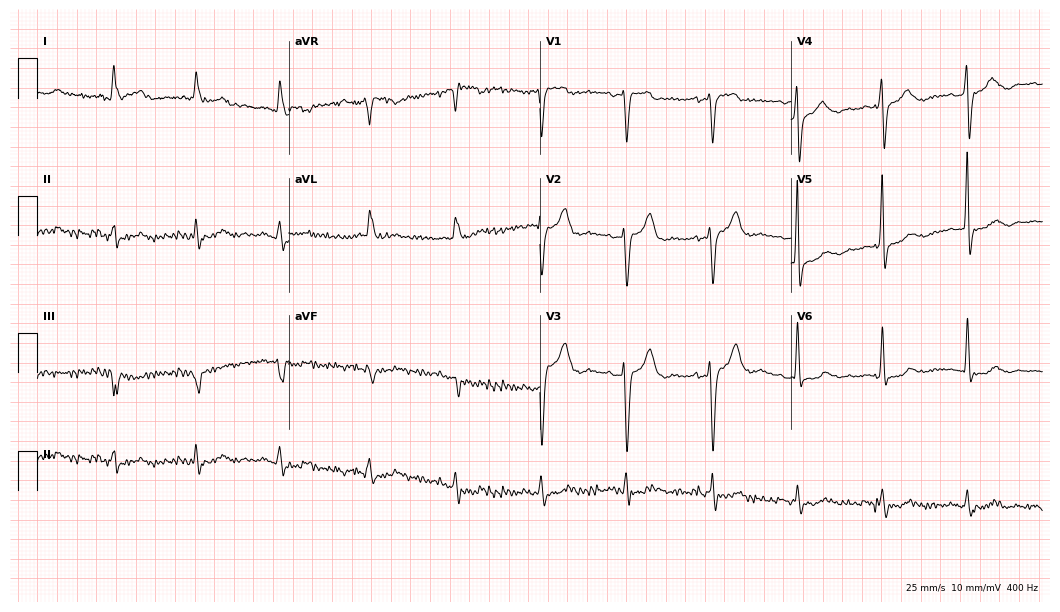
12-lead ECG from an 81-year-old man (10.2-second recording at 400 Hz). No first-degree AV block, right bundle branch block, left bundle branch block, sinus bradycardia, atrial fibrillation or sinus tachycardia recorded for this tracing. Other findings, if any, are not listed.